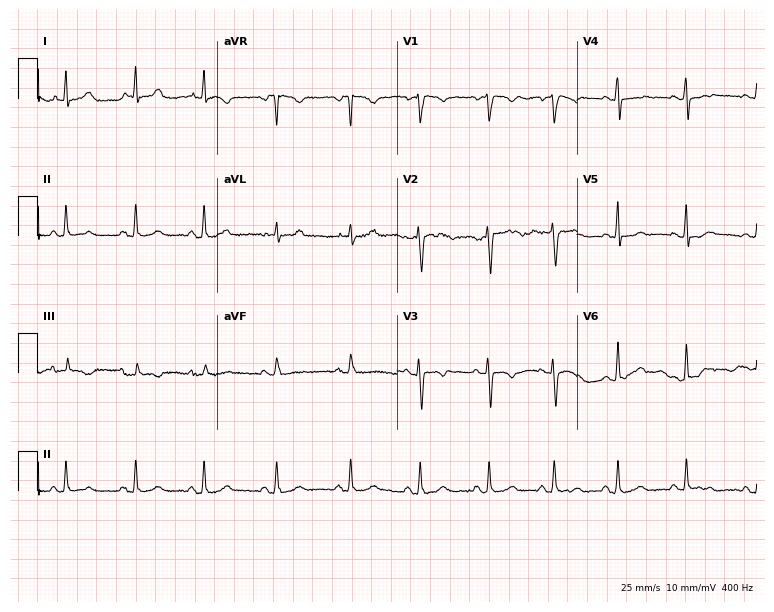
12-lead ECG (7.3-second recording at 400 Hz) from a 28-year-old female patient. Labelled as a normal ECG.